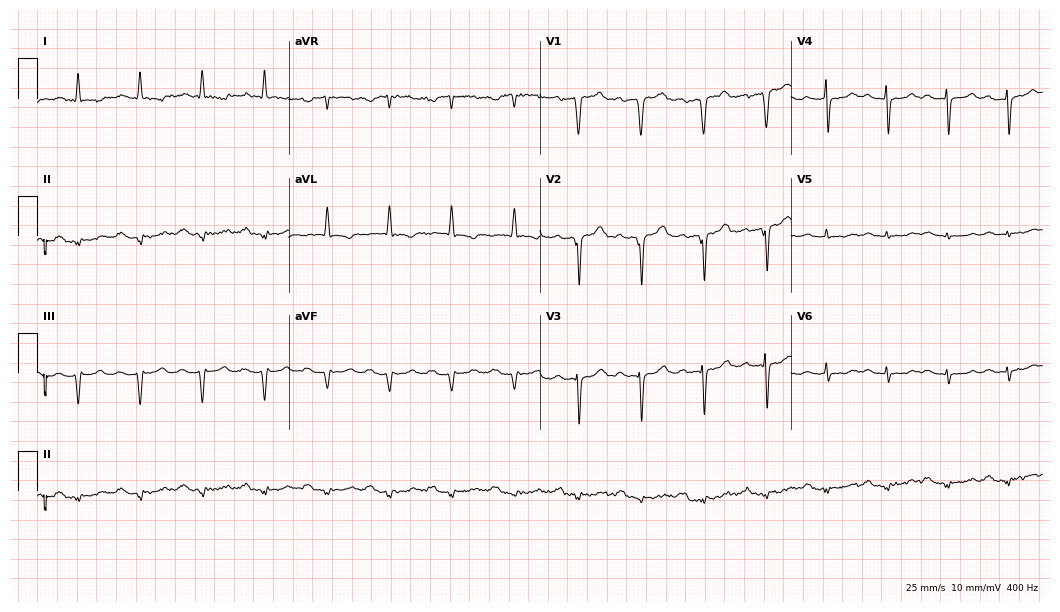
12-lead ECG from a male, 68 years old (10.2-second recording at 400 Hz). No first-degree AV block, right bundle branch block, left bundle branch block, sinus bradycardia, atrial fibrillation or sinus tachycardia recorded for this tracing. Other findings, if any, are not listed.